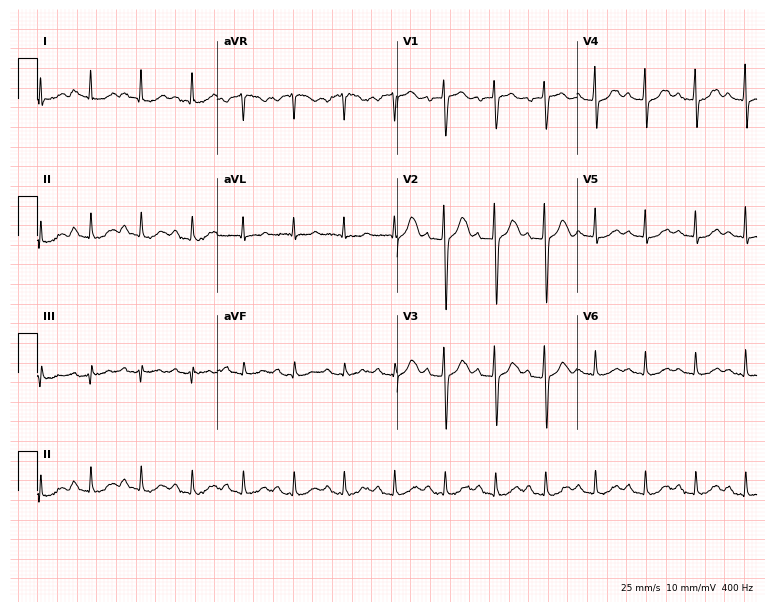
ECG (7.3-second recording at 400 Hz) — a 64-year-old female patient. Findings include sinus tachycardia (a sinus rate of 100 beats per minute or more).